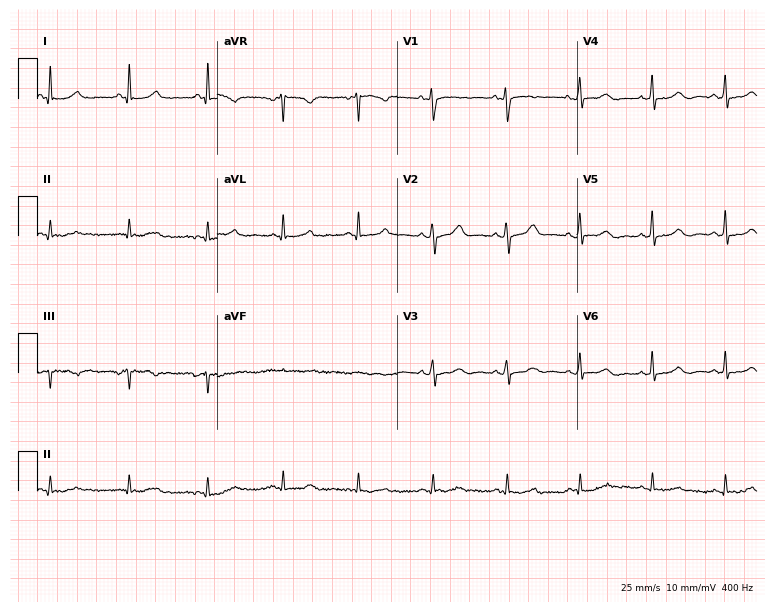
Standard 12-lead ECG recorded from a female patient, 41 years old. Read as a normal ECG.